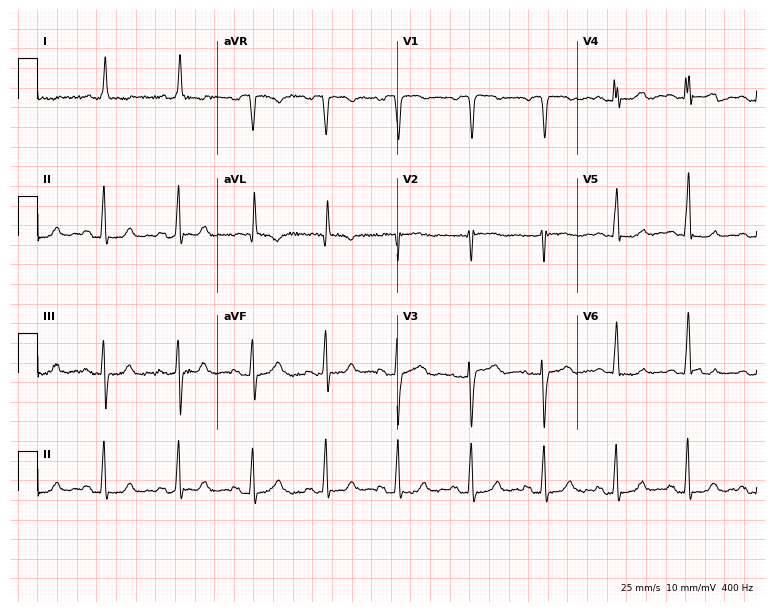
12-lead ECG from a female patient, 65 years old. Screened for six findings — first-degree AV block, right bundle branch block, left bundle branch block, sinus bradycardia, atrial fibrillation, sinus tachycardia — none is recorded.